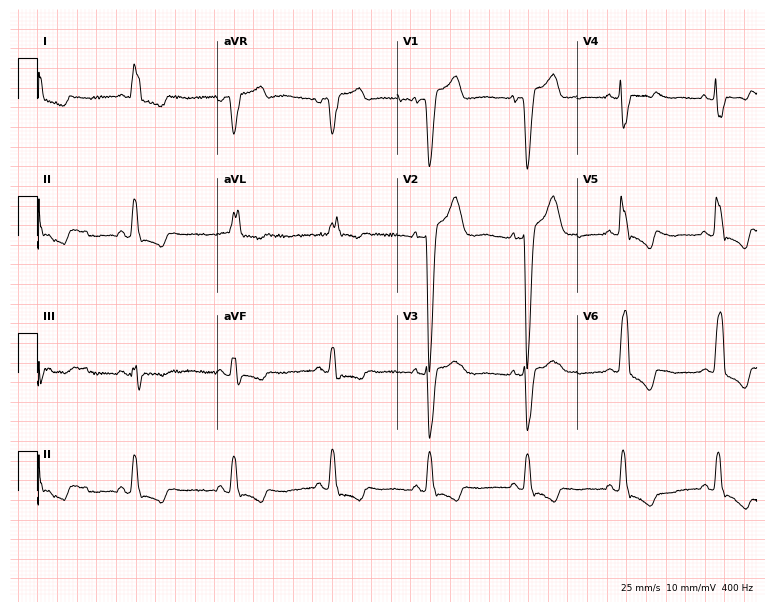
ECG — a female, 64 years old. Screened for six findings — first-degree AV block, right bundle branch block, left bundle branch block, sinus bradycardia, atrial fibrillation, sinus tachycardia — none is recorded.